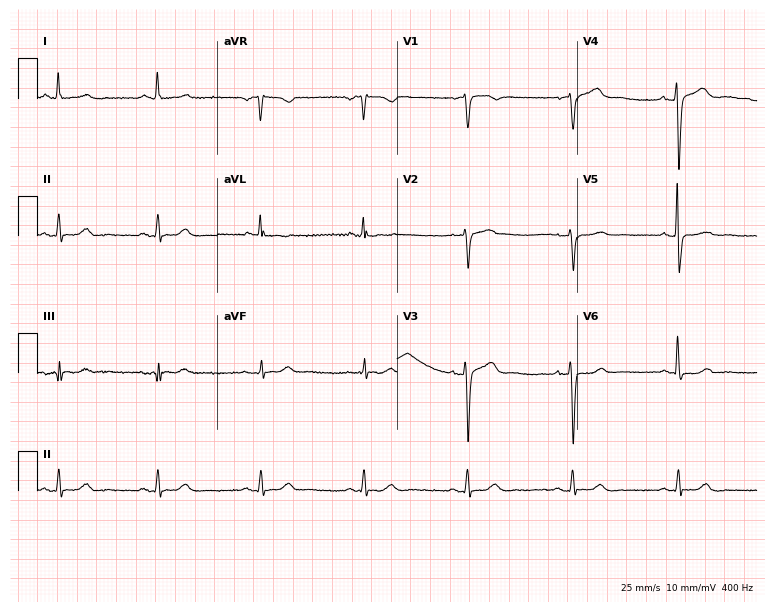
Standard 12-lead ECG recorded from a 65-year-old female. Read as a normal ECG.